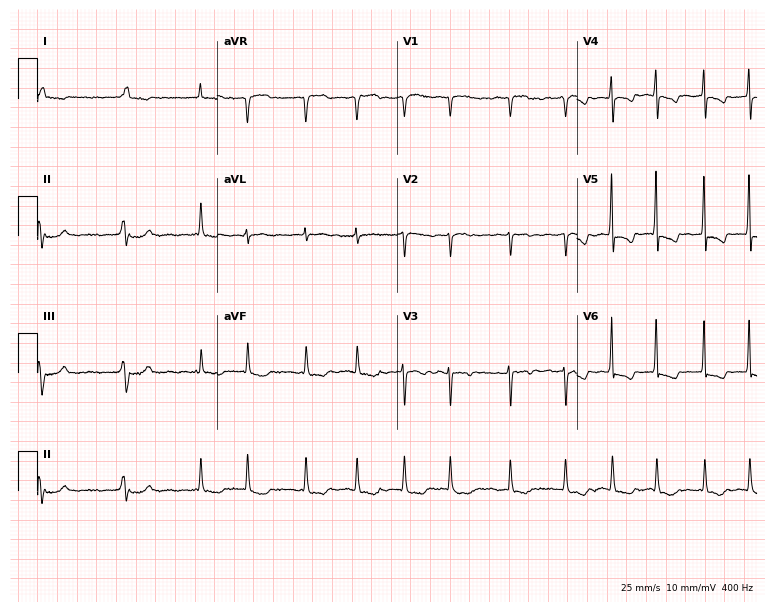
Electrocardiogram, an 83-year-old female patient. Interpretation includes atrial fibrillation.